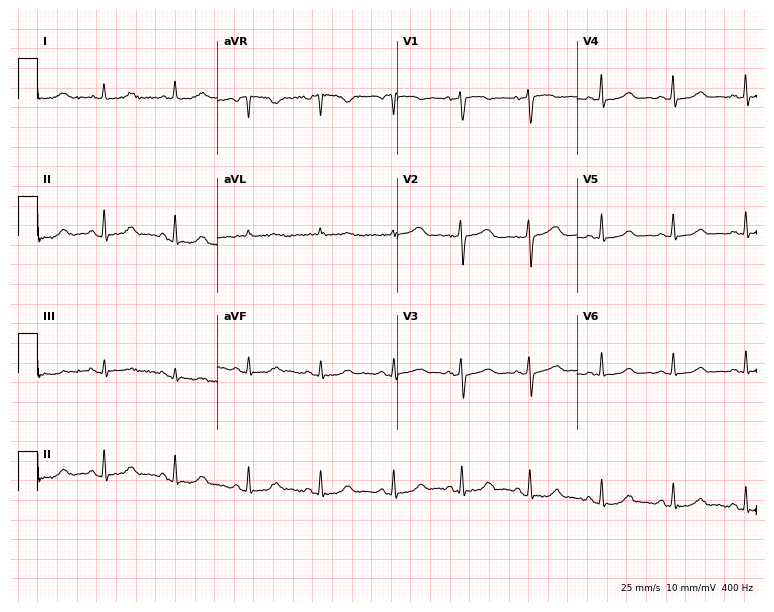
12-lead ECG from a woman, 76 years old (7.3-second recording at 400 Hz). No first-degree AV block, right bundle branch block, left bundle branch block, sinus bradycardia, atrial fibrillation or sinus tachycardia recorded for this tracing.